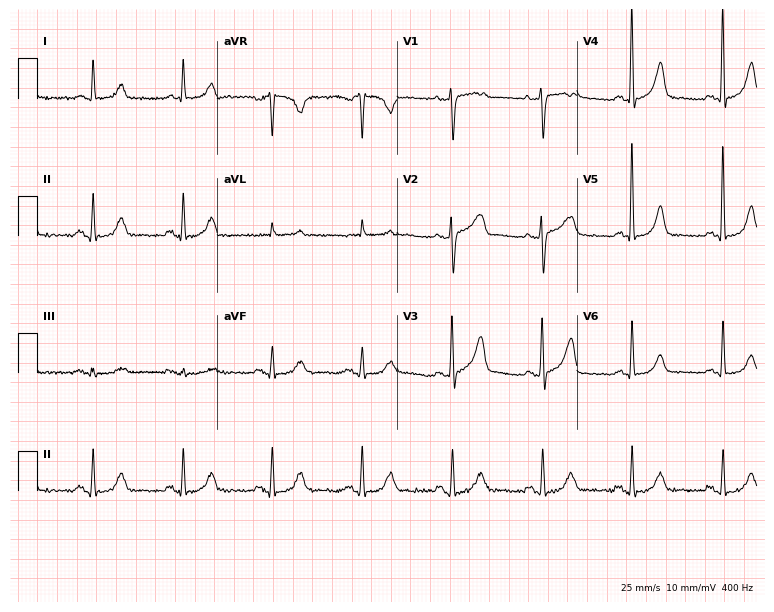
12-lead ECG (7.3-second recording at 400 Hz) from a male, 74 years old. Screened for six findings — first-degree AV block, right bundle branch block, left bundle branch block, sinus bradycardia, atrial fibrillation, sinus tachycardia — none is recorded.